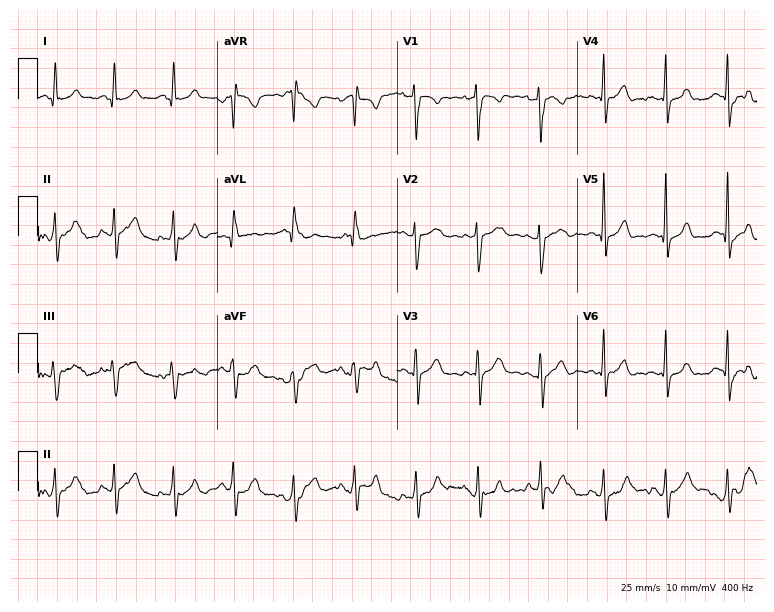
Standard 12-lead ECG recorded from a female, 28 years old (7.3-second recording at 400 Hz). Read as a normal ECG.